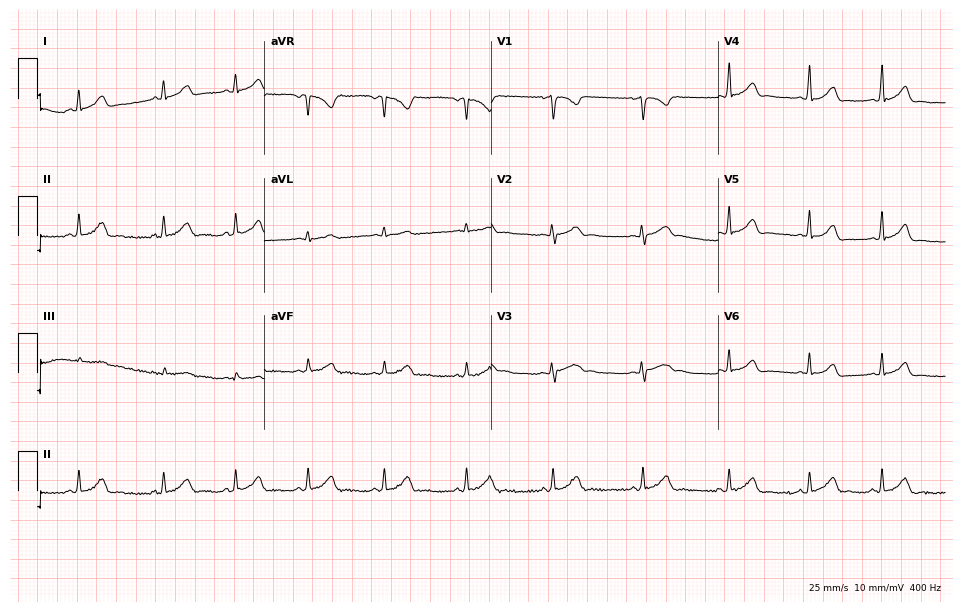
ECG — a 17-year-old woman. Labelled as a normal ECG.